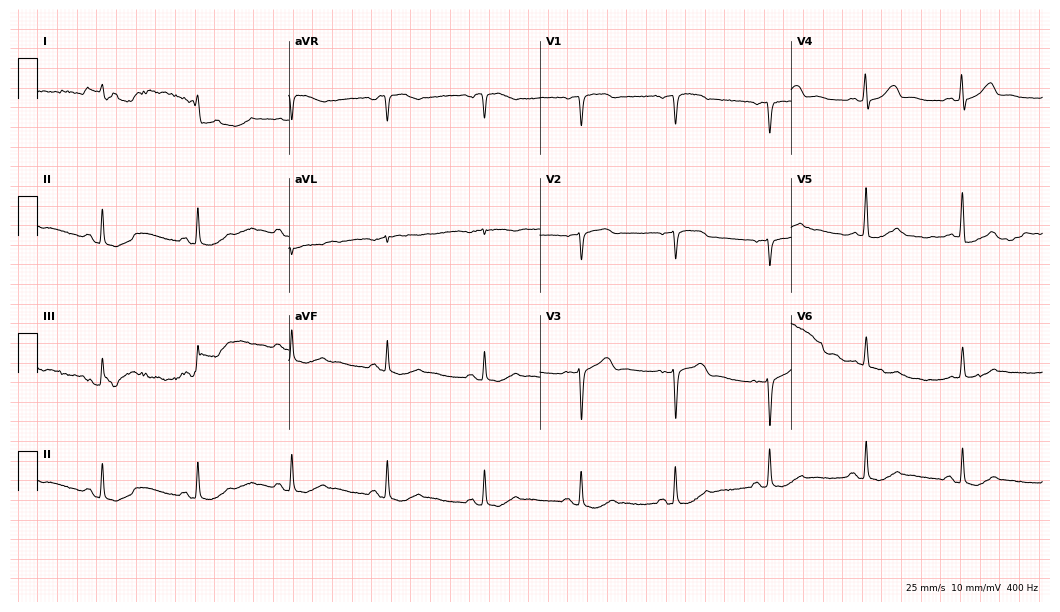
Electrocardiogram (10.2-second recording at 400 Hz), an 83-year-old man. Of the six screened findings (first-degree AV block, right bundle branch block (RBBB), left bundle branch block (LBBB), sinus bradycardia, atrial fibrillation (AF), sinus tachycardia), none is recorded.